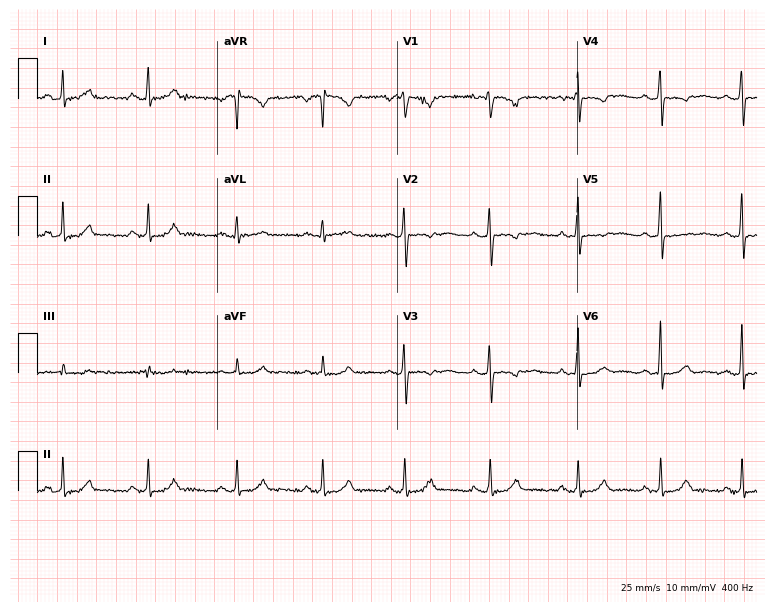
12-lead ECG (7.3-second recording at 400 Hz) from a woman, 38 years old. Labelled as a normal ECG.